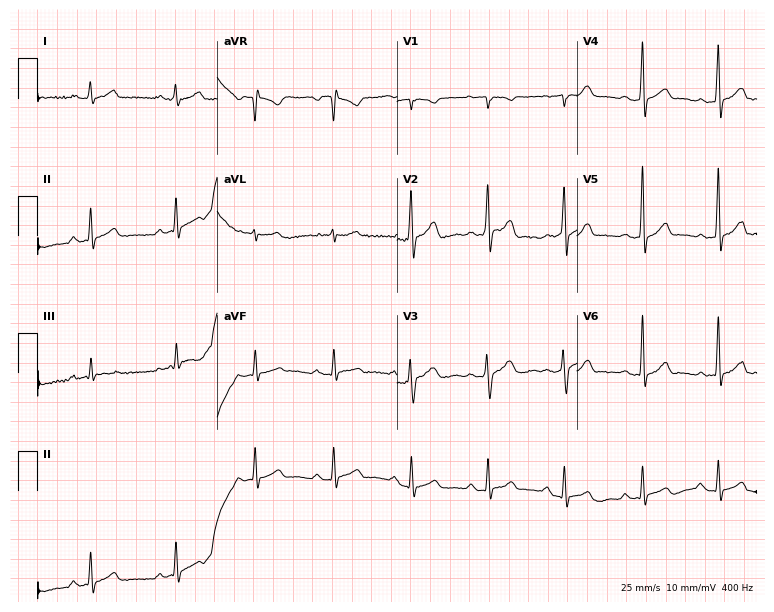
12-lead ECG (7.3-second recording at 400 Hz) from a 38-year-old female patient. Screened for six findings — first-degree AV block, right bundle branch block, left bundle branch block, sinus bradycardia, atrial fibrillation, sinus tachycardia — none is recorded.